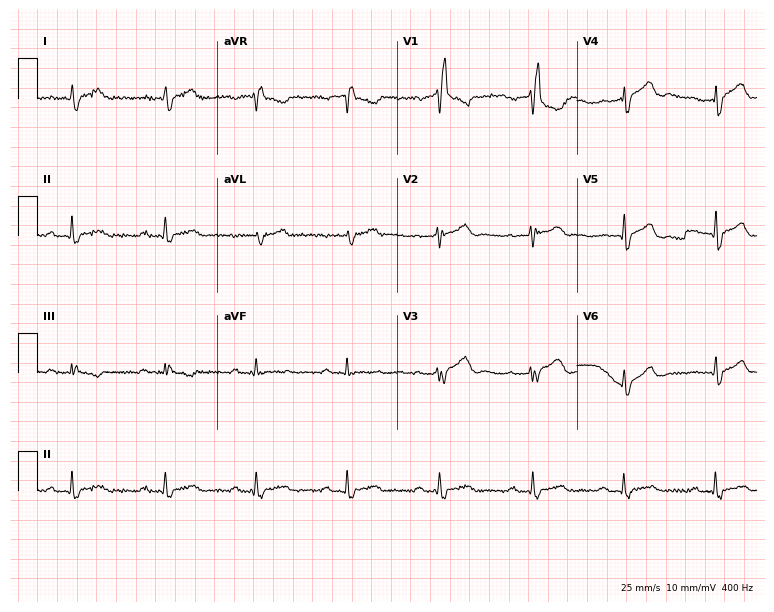
Electrocardiogram (7.3-second recording at 400 Hz), a male patient, 46 years old. Interpretation includes right bundle branch block.